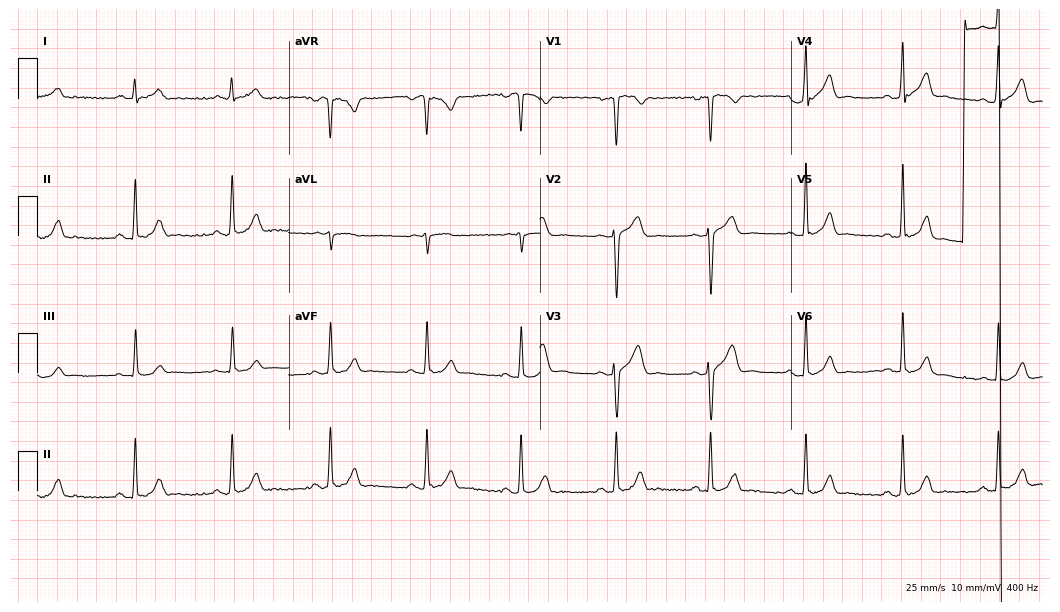
ECG (10.2-second recording at 400 Hz) — a male, 33 years old. Labelled as a normal ECG.